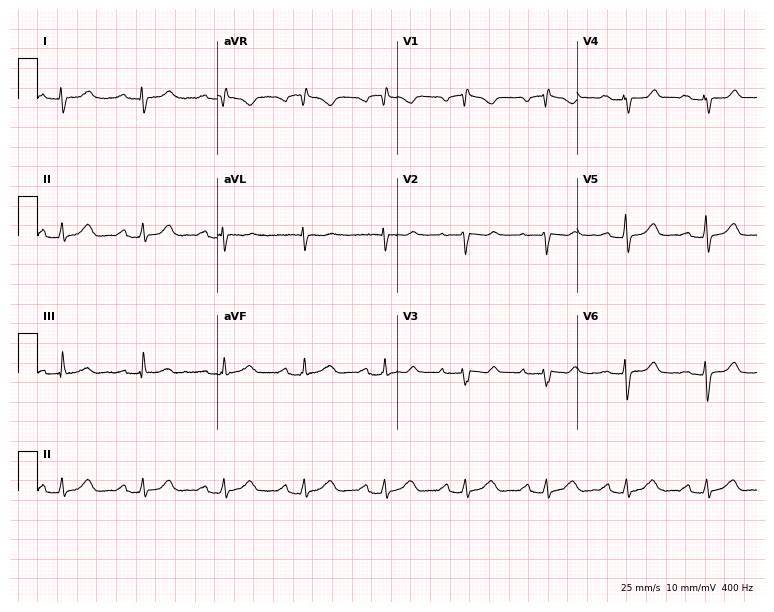
Standard 12-lead ECG recorded from a 58-year-old woman (7.3-second recording at 400 Hz). The tracing shows first-degree AV block.